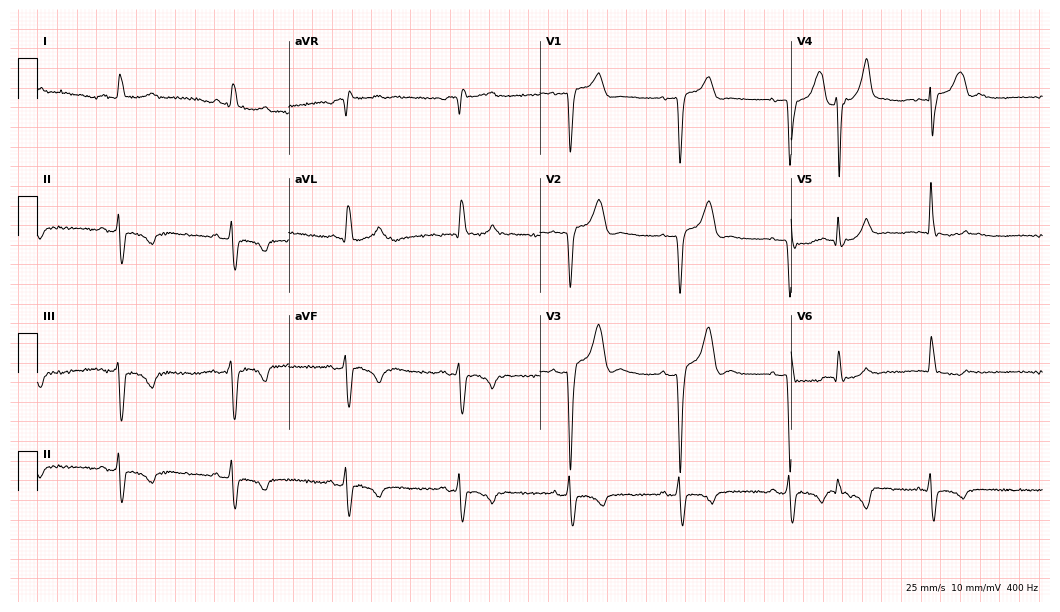
12-lead ECG from an 83-year-old man. Findings include left bundle branch block.